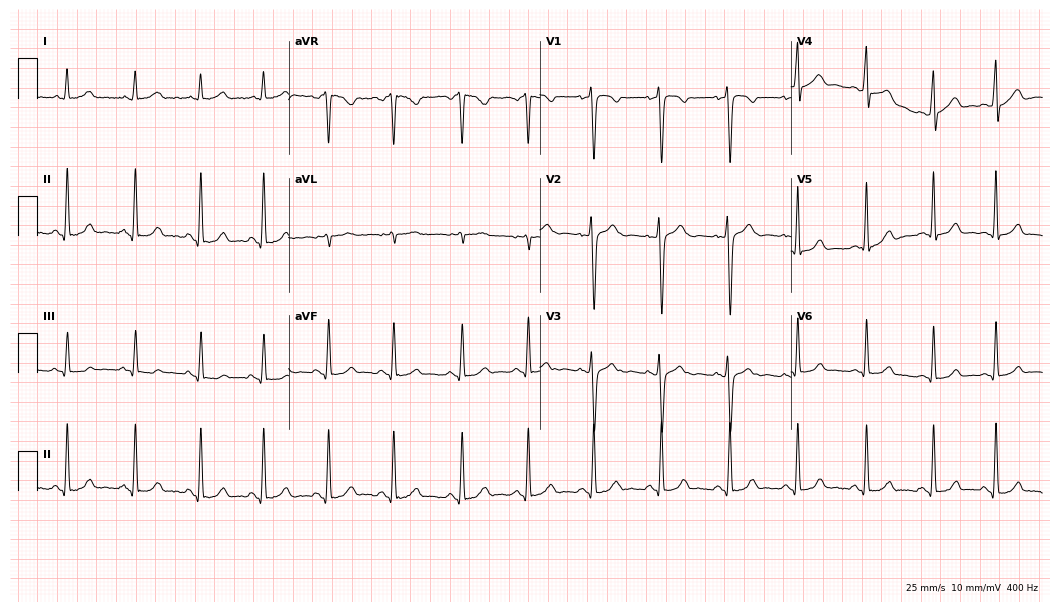
12-lead ECG from a female, 33 years old (10.2-second recording at 400 Hz). Recorded interpretation: within normal limits.